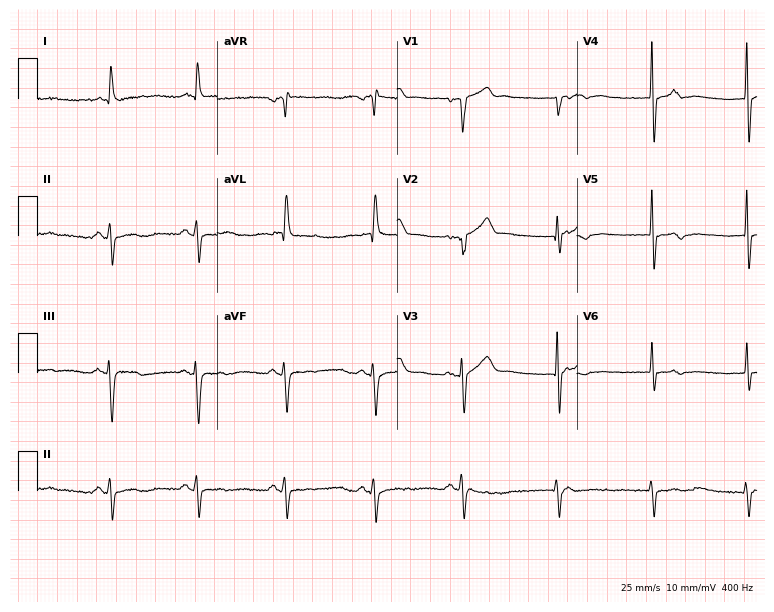
12-lead ECG from a male, 75 years old (7.3-second recording at 400 Hz). No first-degree AV block, right bundle branch block, left bundle branch block, sinus bradycardia, atrial fibrillation or sinus tachycardia recorded for this tracing. Findings outside these six are not listed.